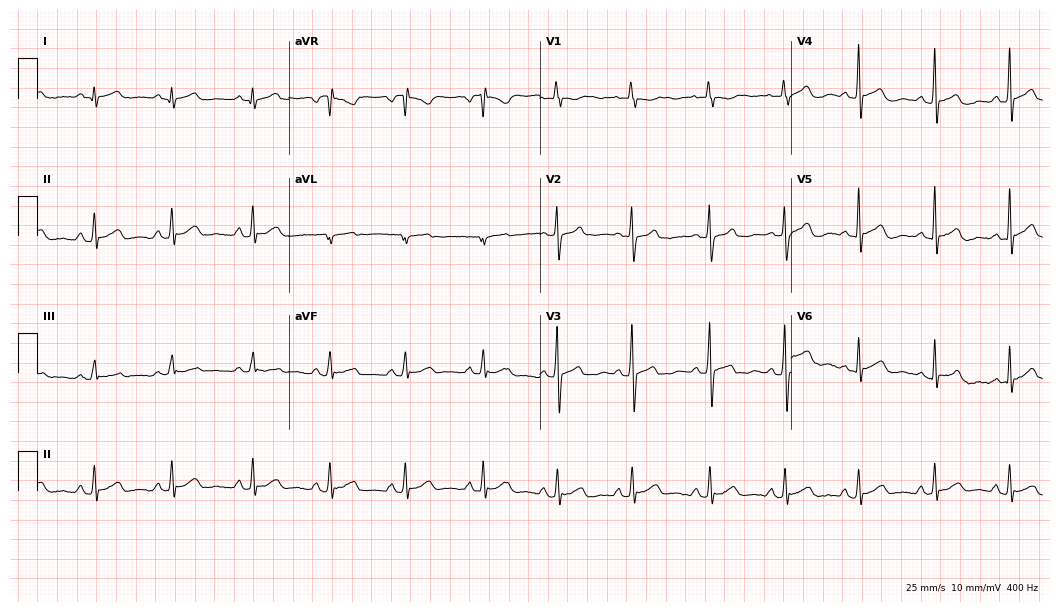
Standard 12-lead ECG recorded from a 40-year-old male patient (10.2-second recording at 400 Hz). Read as a normal ECG.